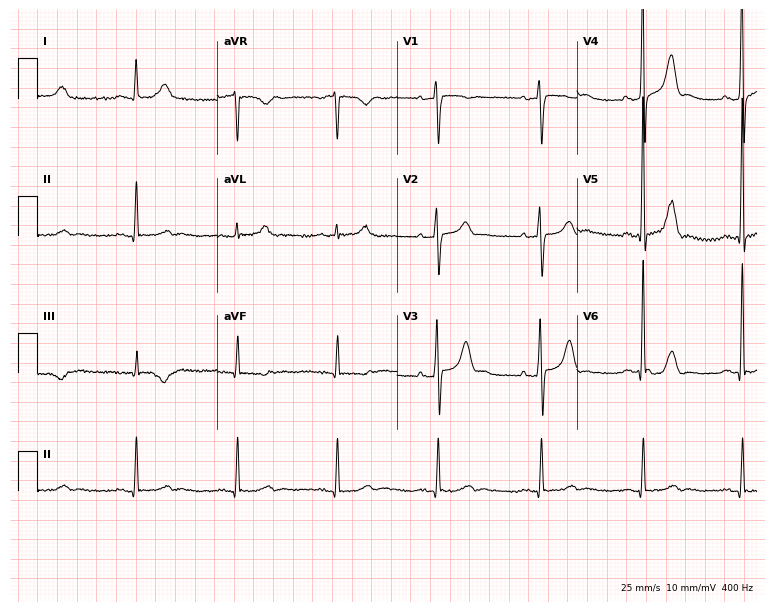
Electrocardiogram (7.3-second recording at 400 Hz), a 58-year-old male. Overall reading on record: normal ECG.